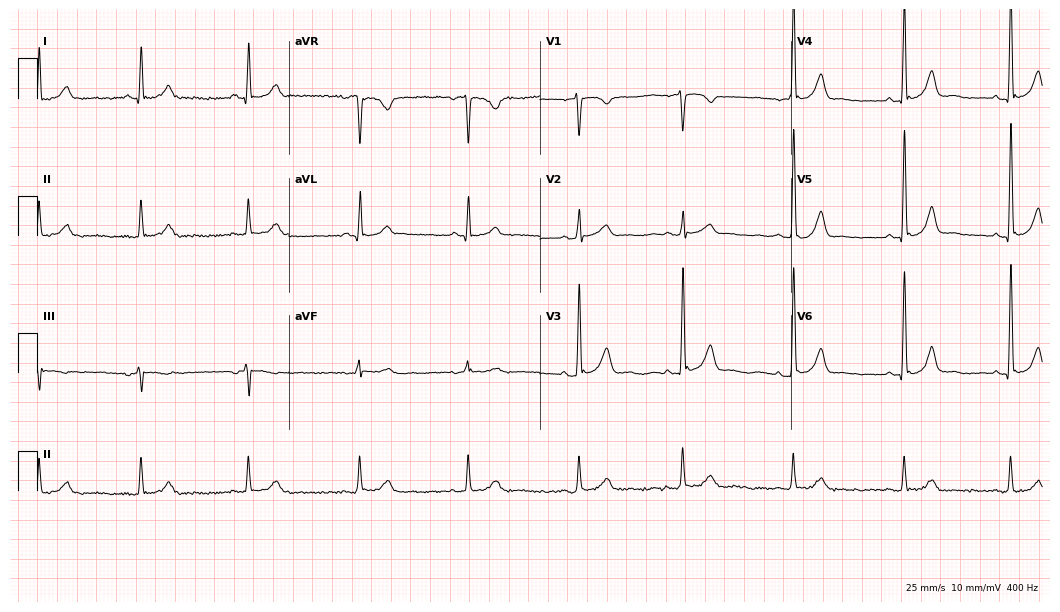
Standard 12-lead ECG recorded from a 67-year-old female. Read as a normal ECG.